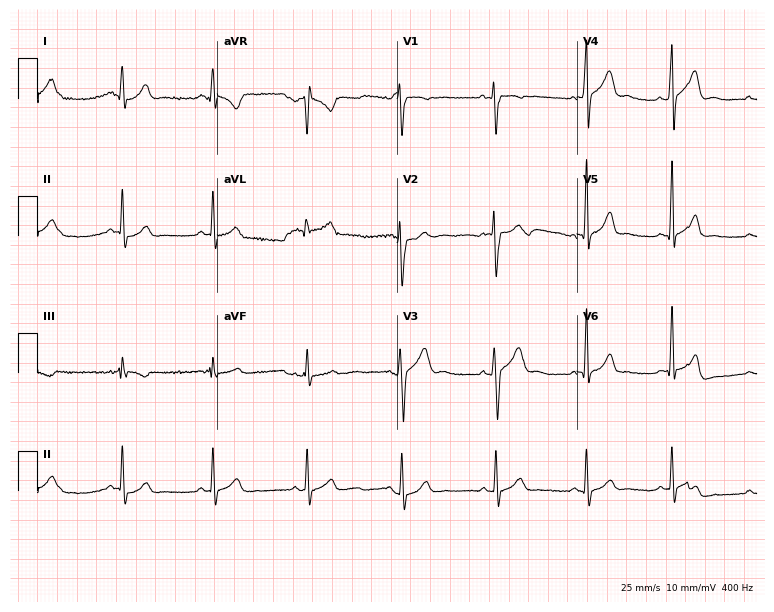
Standard 12-lead ECG recorded from a male patient, 29 years old. None of these six findings is recorded: first-degree AV block, right bundle branch block, left bundle branch block, sinus bradycardia, atrial fibrillation, sinus tachycardia. Only these six findings were labelled.